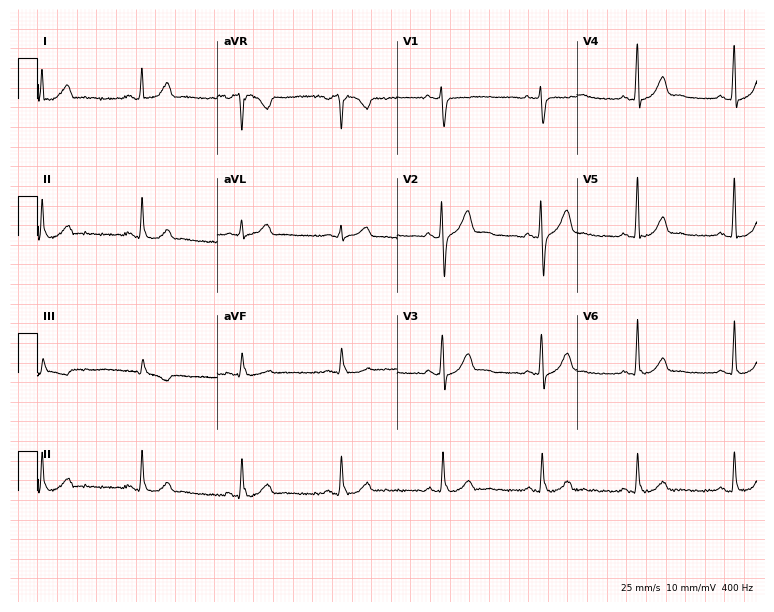
Electrocardiogram (7.3-second recording at 400 Hz), a male, 40 years old. Overall reading on record: normal ECG.